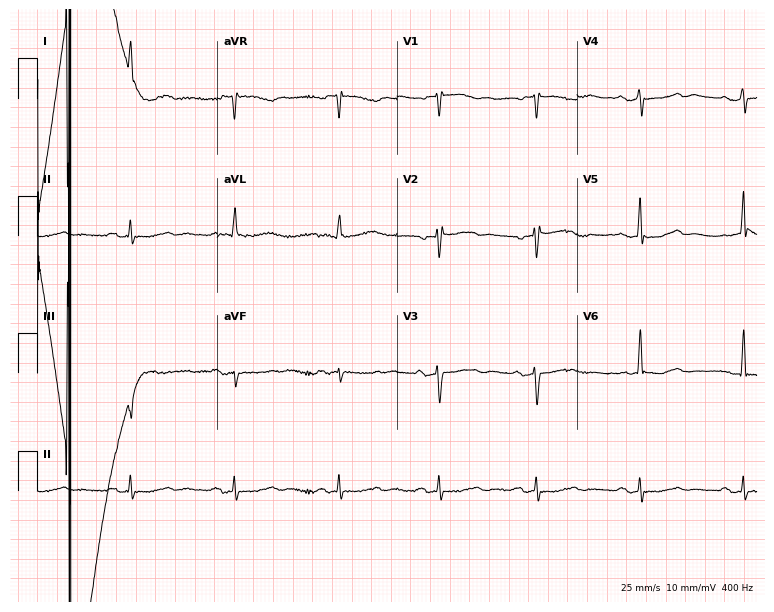
Resting 12-lead electrocardiogram. Patient: a 61-year-old woman. None of these six findings is recorded: first-degree AV block, right bundle branch block, left bundle branch block, sinus bradycardia, atrial fibrillation, sinus tachycardia.